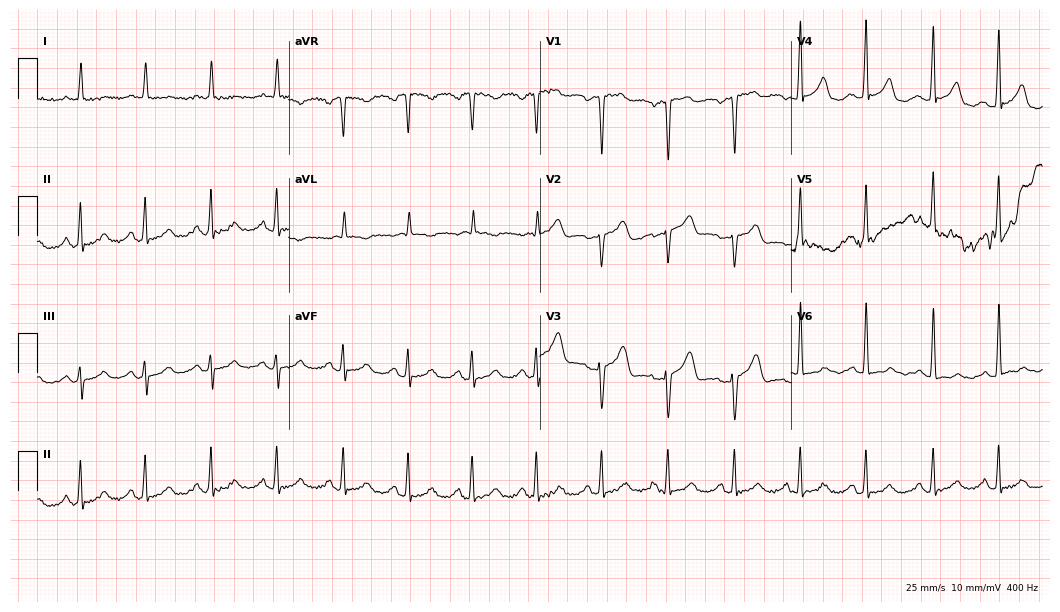
Standard 12-lead ECG recorded from an 84-year-old female (10.2-second recording at 400 Hz). None of these six findings is recorded: first-degree AV block, right bundle branch block, left bundle branch block, sinus bradycardia, atrial fibrillation, sinus tachycardia. Other findings, if any, are not listed.